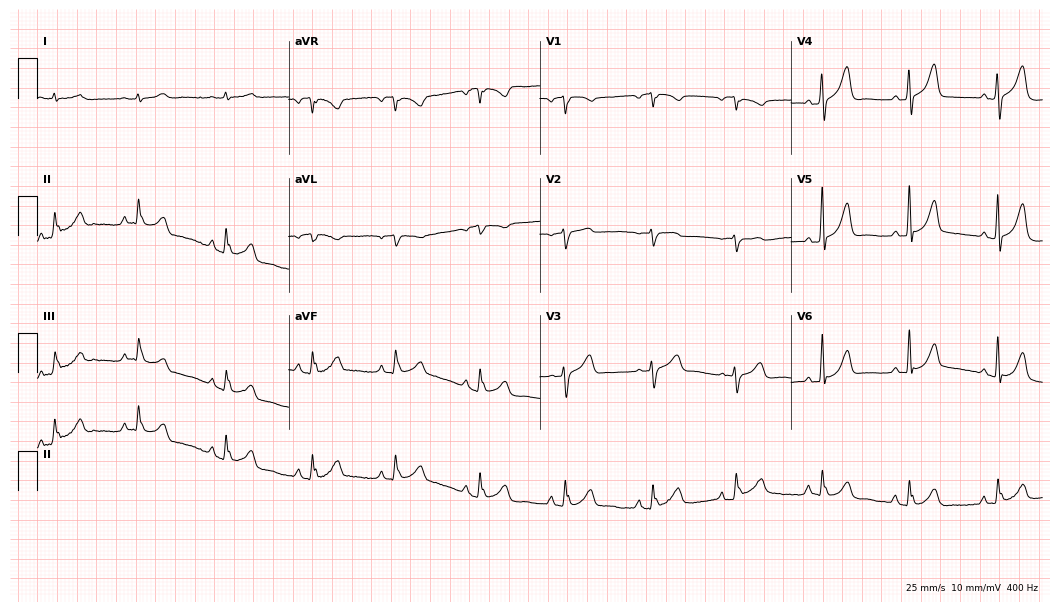
12-lead ECG from a male, 76 years old (10.2-second recording at 400 Hz). Recorded interpretation: within normal limits.